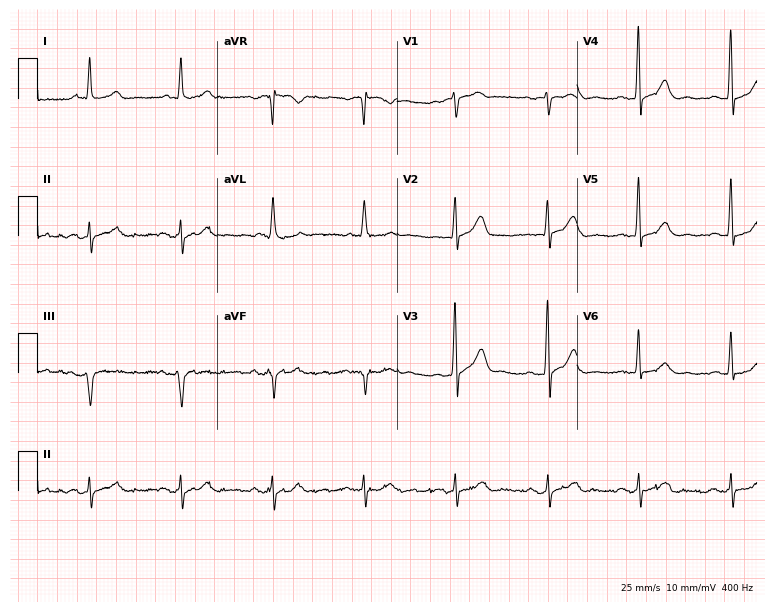
12-lead ECG from a 69-year-old male patient. Recorded interpretation: within normal limits.